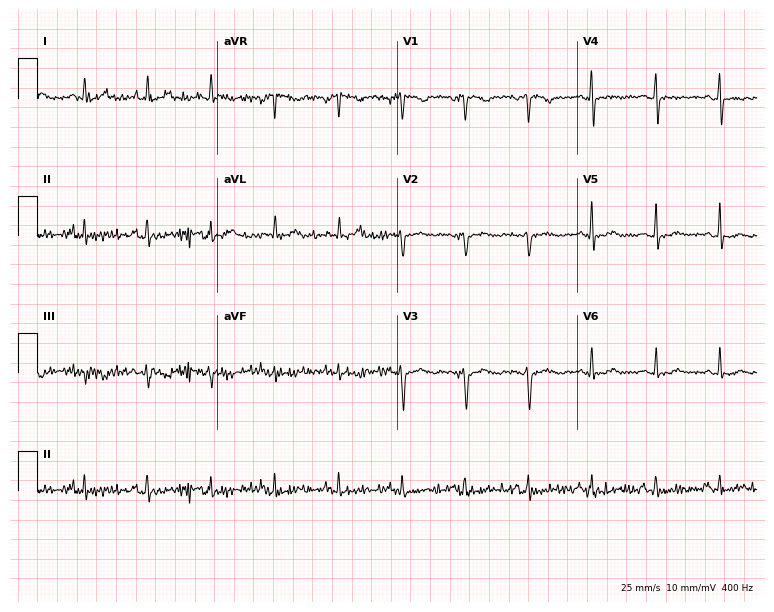
Resting 12-lead electrocardiogram. Patient: a 43-year-old female. None of these six findings is recorded: first-degree AV block, right bundle branch block, left bundle branch block, sinus bradycardia, atrial fibrillation, sinus tachycardia. Other findings, if any, are not listed.